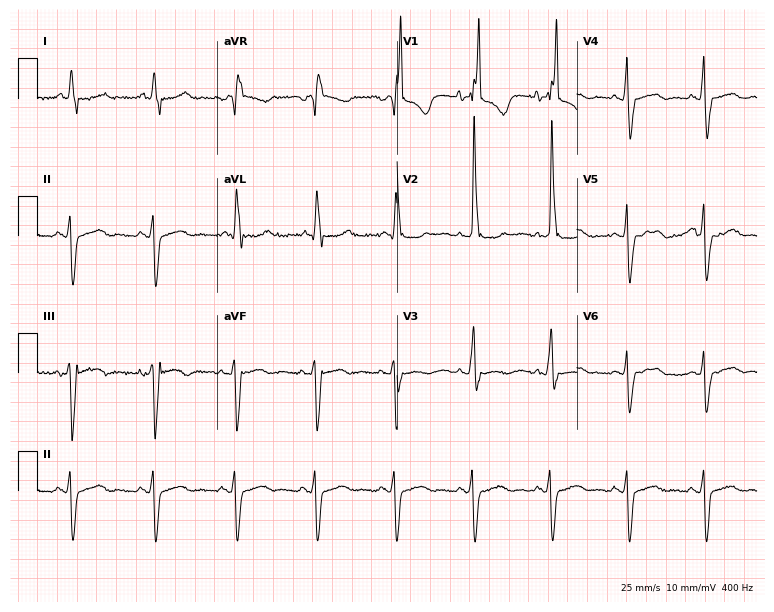
Resting 12-lead electrocardiogram. Patient: a man, 78 years old. The tracing shows right bundle branch block.